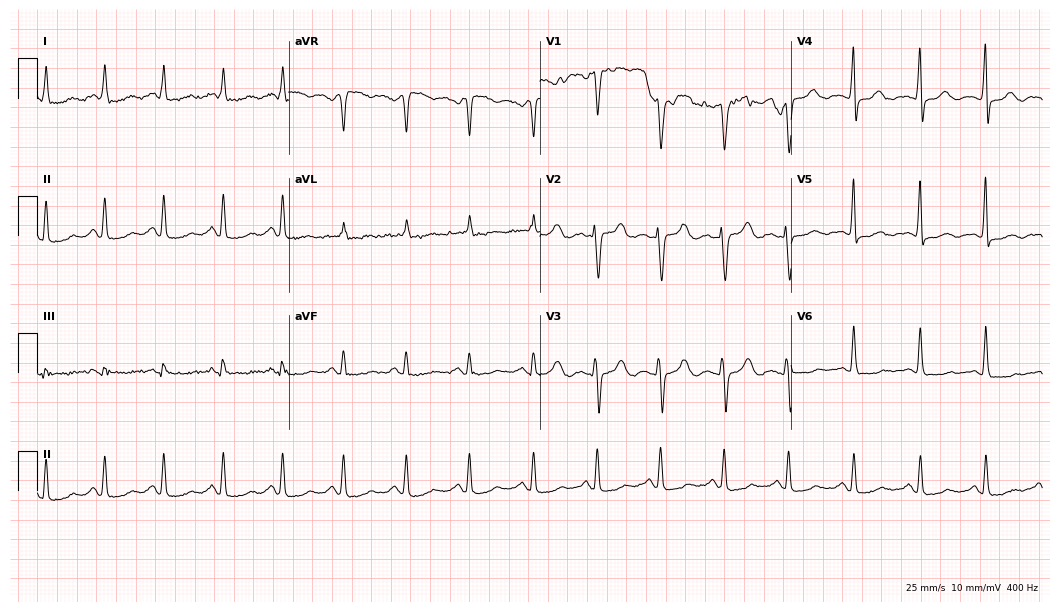
12-lead ECG from a 43-year-old woman. Recorded interpretation: within normal limits.